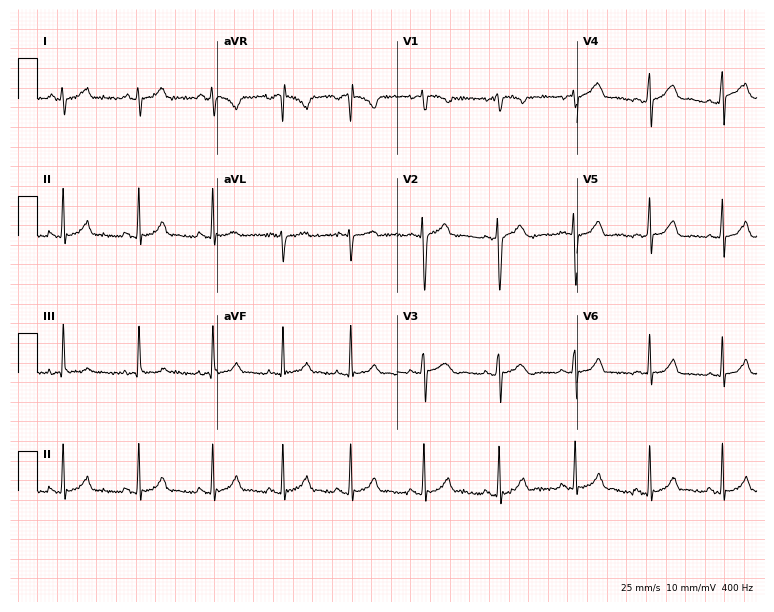
Resting 12-lead electrocardiogram. Patient: a female, 17 years old. Read as a normal ECG.